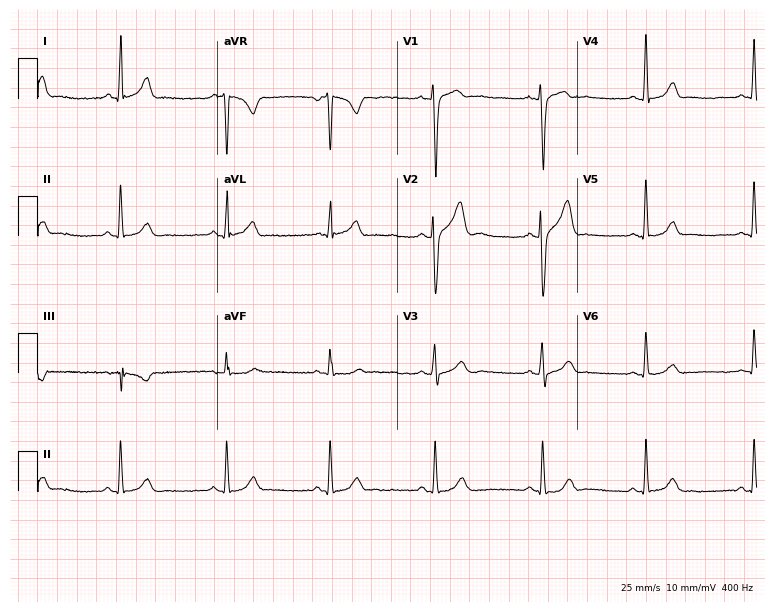
Standard 12-lead ECG recorded from a man, 25 years old. Read as a normal ECG.